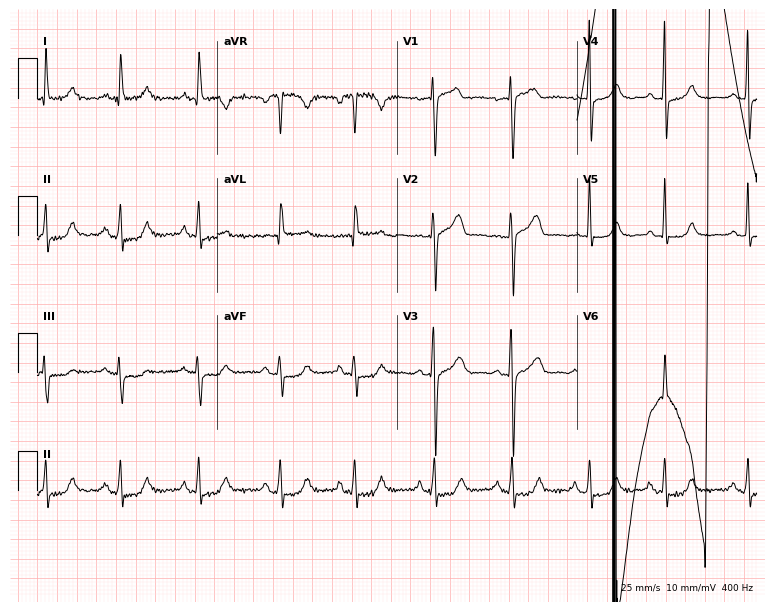
12-lead ECG (7.3-second recording at 400 Hz) from a 62-year-old female. Screened for six findings — first-degree AV block, right bundle branch block, left bundle branch block, sinus bradycardia, atrial fibrillation, sinus tachycardia — none is recorded. Findings outside these six are not listed.